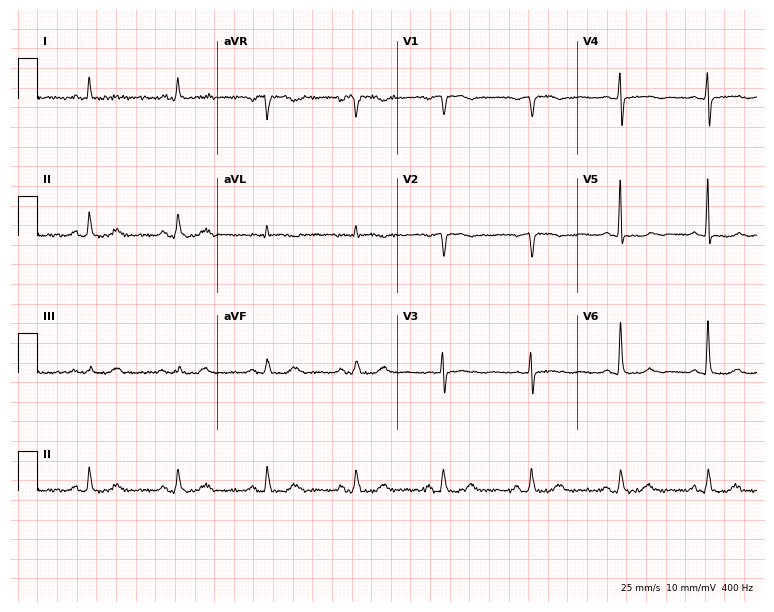
Standard 12-lead ECG recorded from a female, 56 years old (7.3-second recording at 400 Hz). Read as a normal ECG.